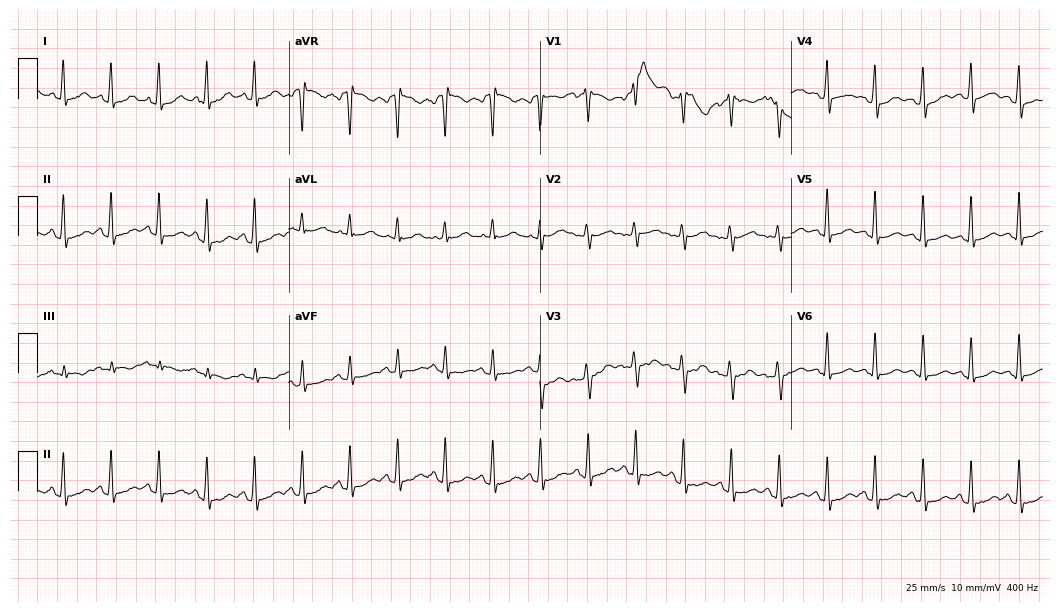
Resting 12-lead electrocardiogram. Patient: a 38-year-old female. The tracing shows sinus tachycardia (a sinus rate of 100 beats per minute or more).